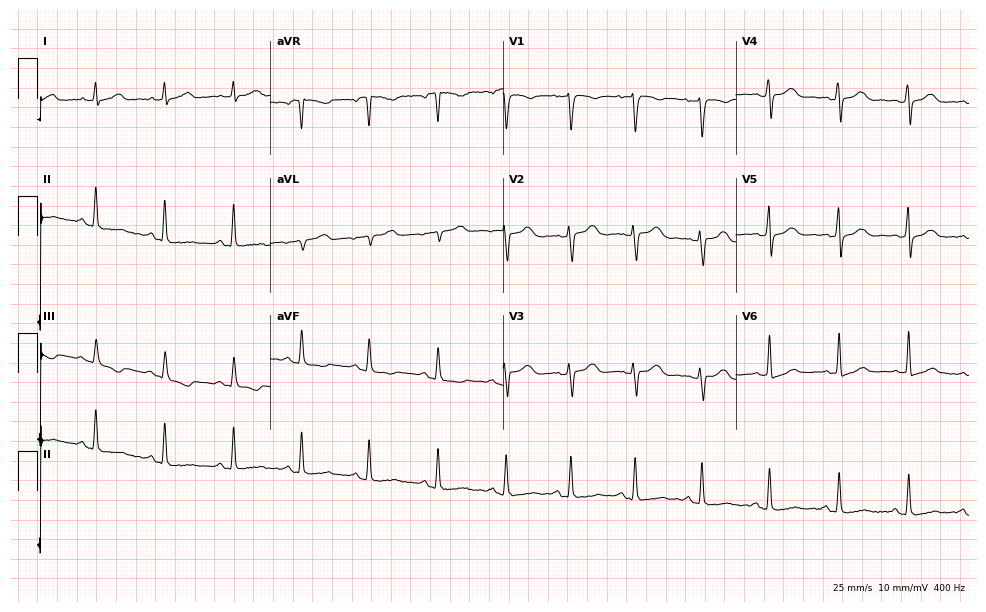
Resting 12-lead electrocardiogram (9.5-second recording at 400 Hz). Patient: a 44-year-old woman. None of these six findings is recorded: first-degree AV block, right bundle branch block, left bundle branch block, sinus bradycardia, atrial fibrillation, sinus tachycardia.